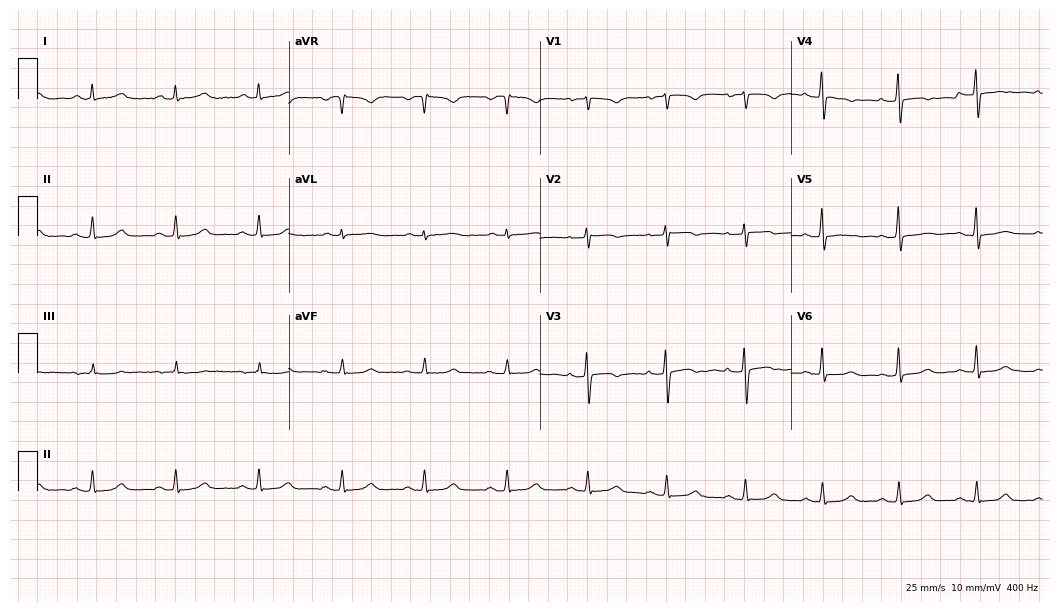
ECG — a 39-year-old female patient. Screened for six findings — first-degree AV block, right bundle branch block (RBBB), left bundle branch block (LBBB), sinus bradycardia, atrial fibrillation (AF), sinus tachycardia — none is recorded. Only these six findings were labelled.